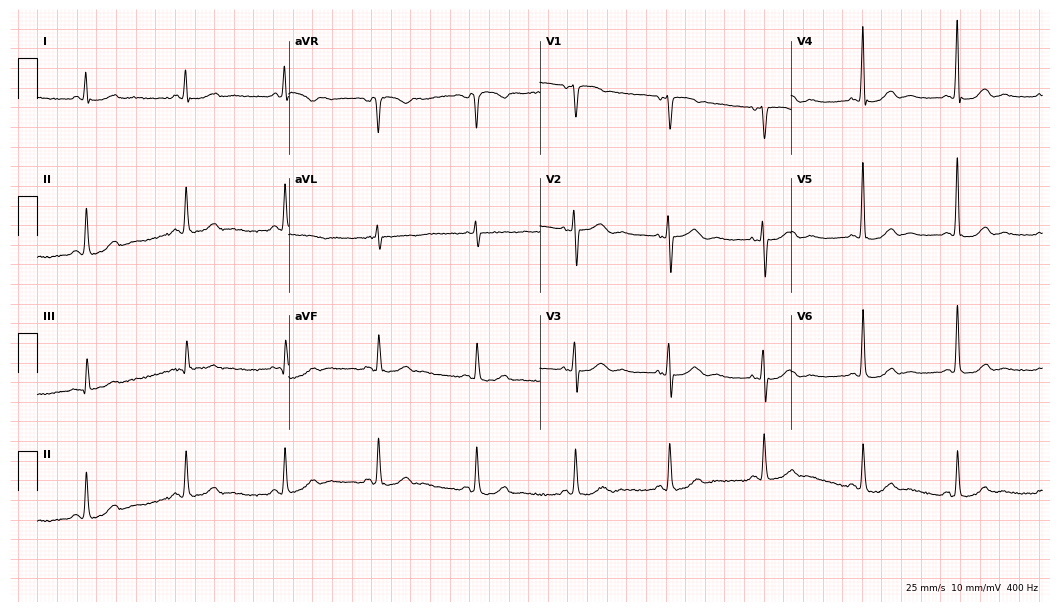
12-lead ECG (10.2-second recording at 400 Hz) from a 67-year-old female. Labelled as a normal ECG.